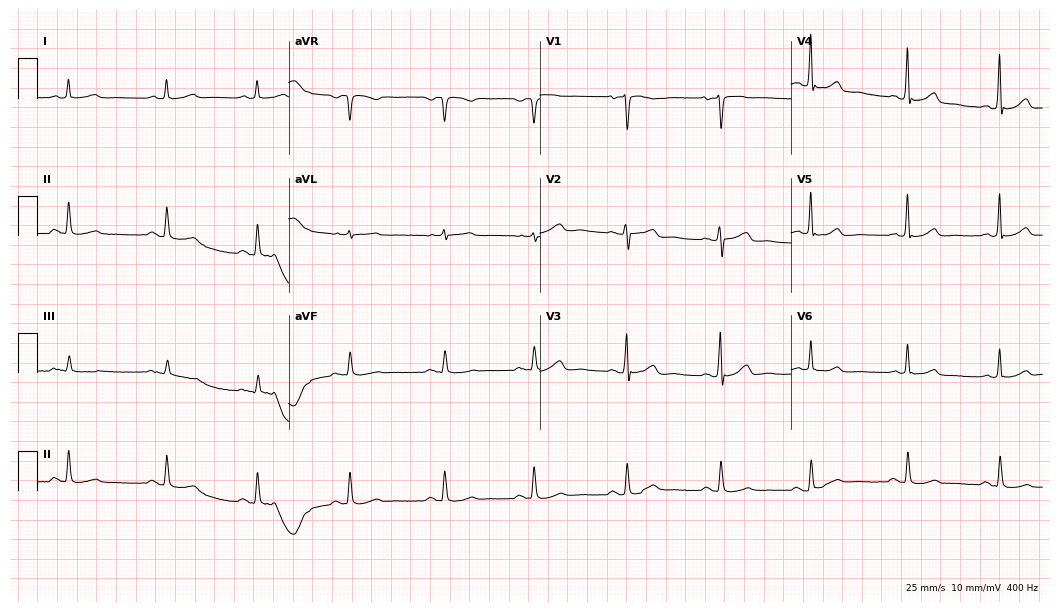
Electrocardiogram (10.2-second recording at 400 Hz), a 77-year-old male patient. Of the six screened findings (first-degree AV block, right bundle branch block (RBBB), left bundle branch block (LBBB), sinus bradycardia, atrial fibrillation (AF), sinus tachycardia), none is recorded. Only these six findings were labelled.